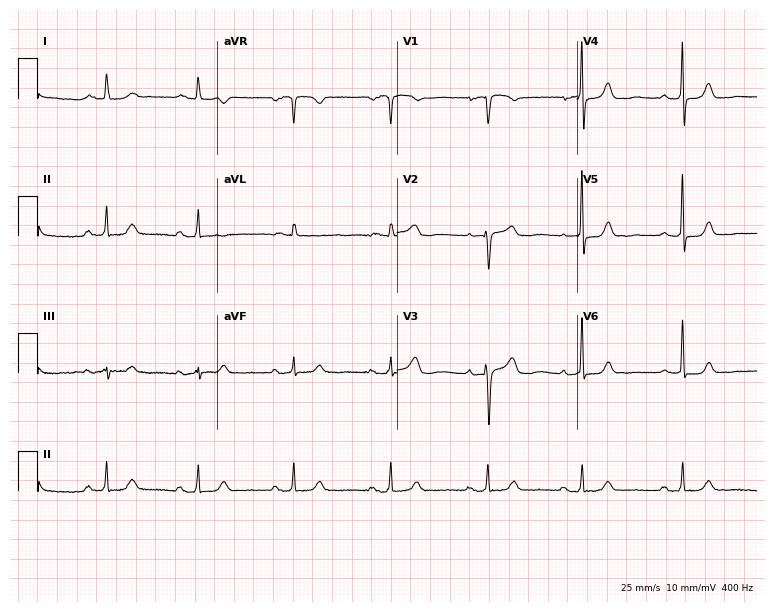
Electrocardiogram, a woman, 68 years old. Overall reading on record: normal ECG.